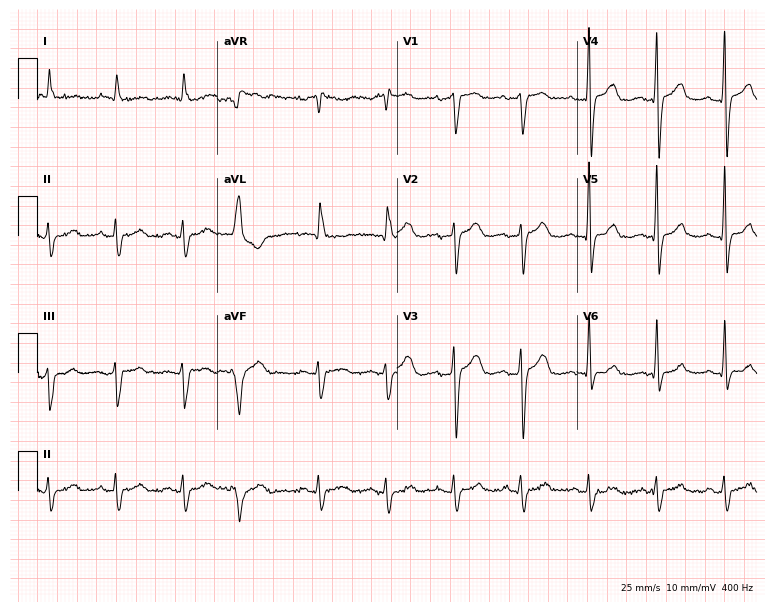
Electrocardiogram (7.3-second recording at 400 Hz), a male, 77 years old. Of the six screened findings (first-degree AV block, right bundle branch block, left bundle branch block, sinus bradycardia, atrial fibrillation, sinus tachycardia), none is recorded.